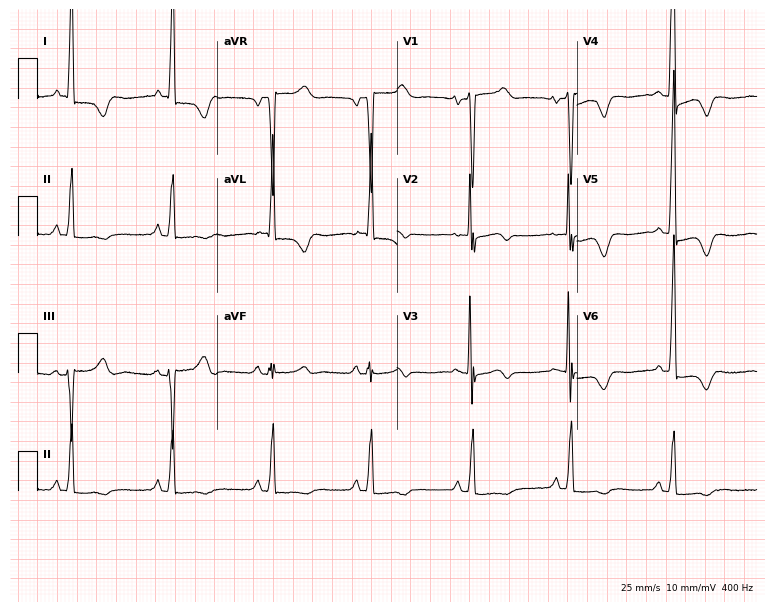
Standard 12-lead ECG recorded from a 68-year-old female (7.3-second recording at 400 Hz). None of these six findings is recorded: first-degree AV block, right bundle branch block (RBBB), left bundle branch block (LBBB), sinus bradycardia, atrial fibrillation (AF), sinus tachycardia.